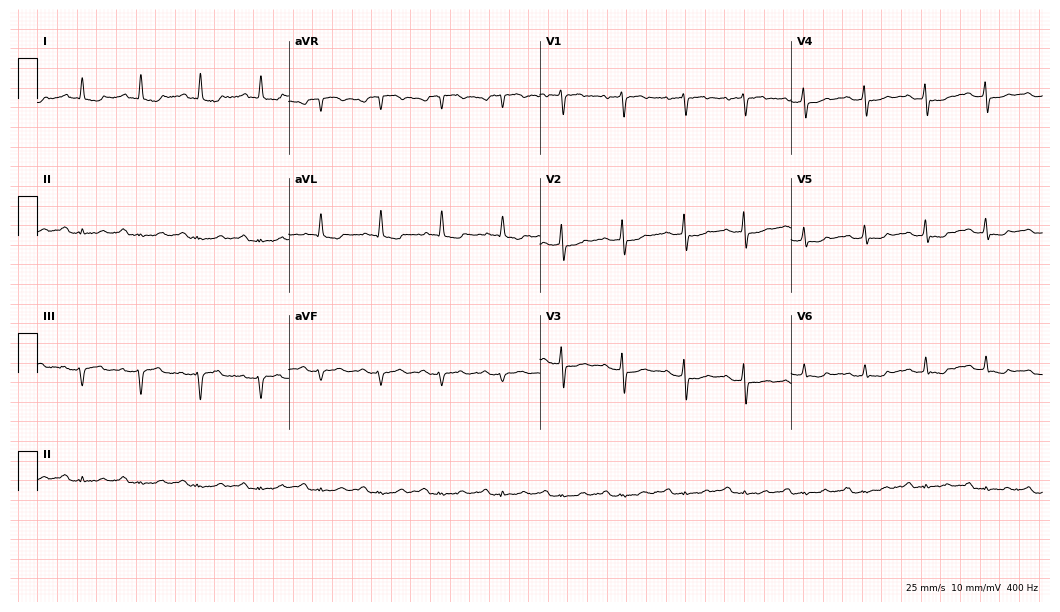
12-lead ECG (10.2-second recording at 400 Hz) from an 82-year-old female patient. Labelled as a normal ECG.